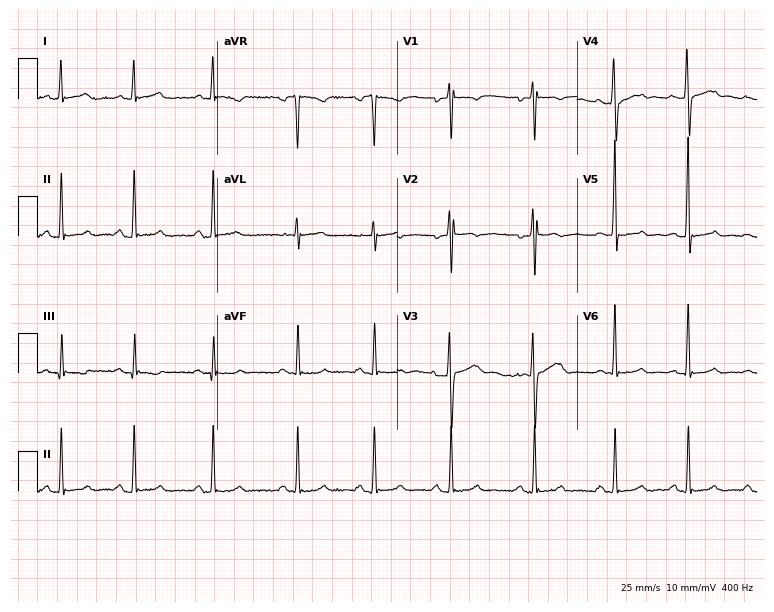
Standard 12-lead ECG recorded from a woman, 33 years old (7.3-second recording at 400 Hz). Read as a normal ECG.